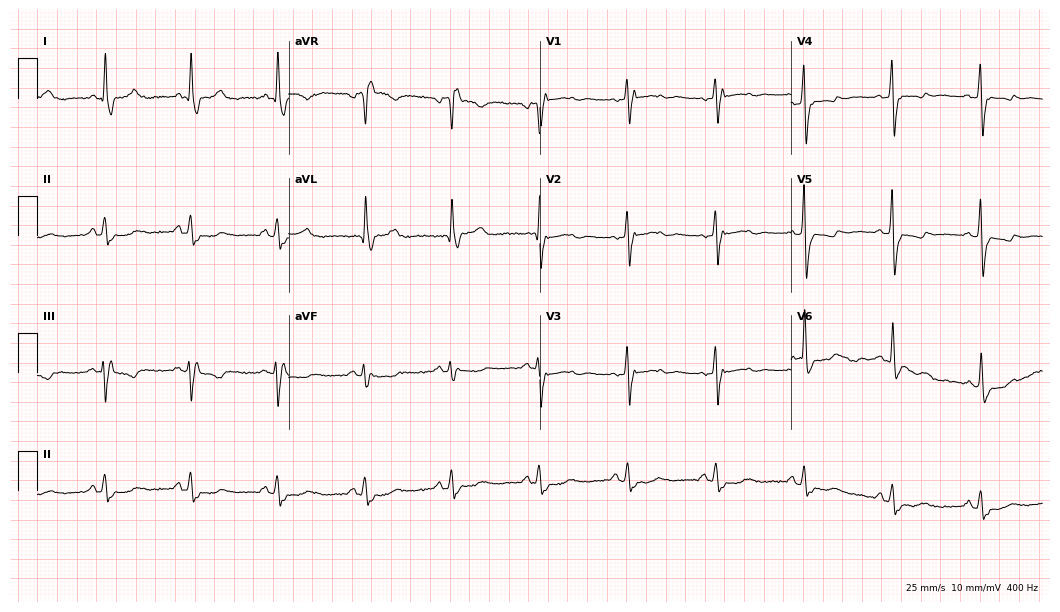
Standard 12-lead ECG recorded from a 66-year-old man. The tracing shows right bundle branch block.